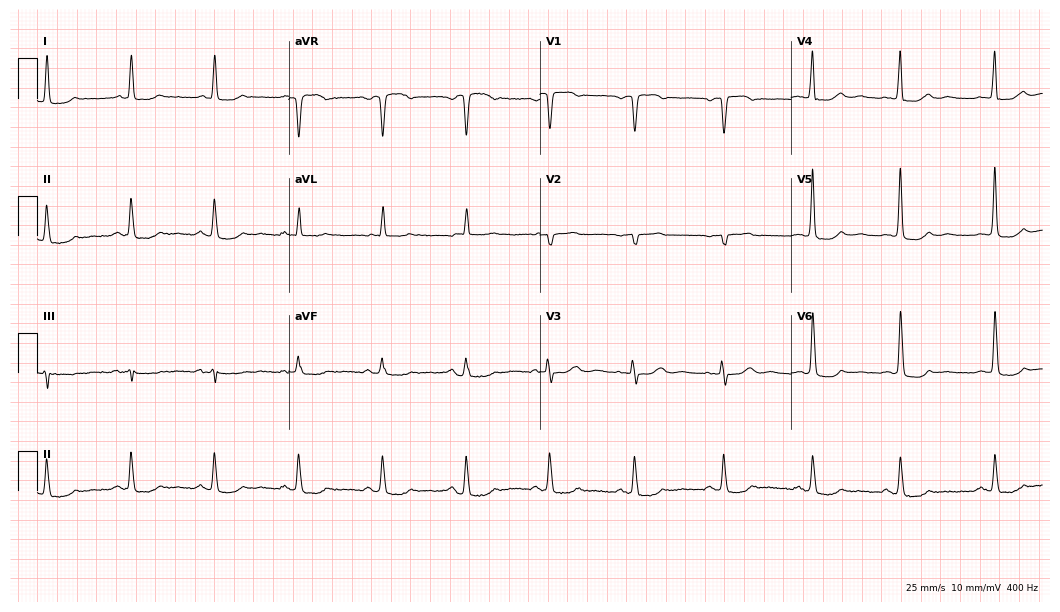
ECG (10.2-second recording at 400 Hz) — a female, 71 years old. Screened for six findings — first-degree AV block, right bundle branch block (RBBB), left bundle branch block (LBBB), sinus bradycardia, atrial fibrillation (AF), sinus tachycardia — none is recorded.